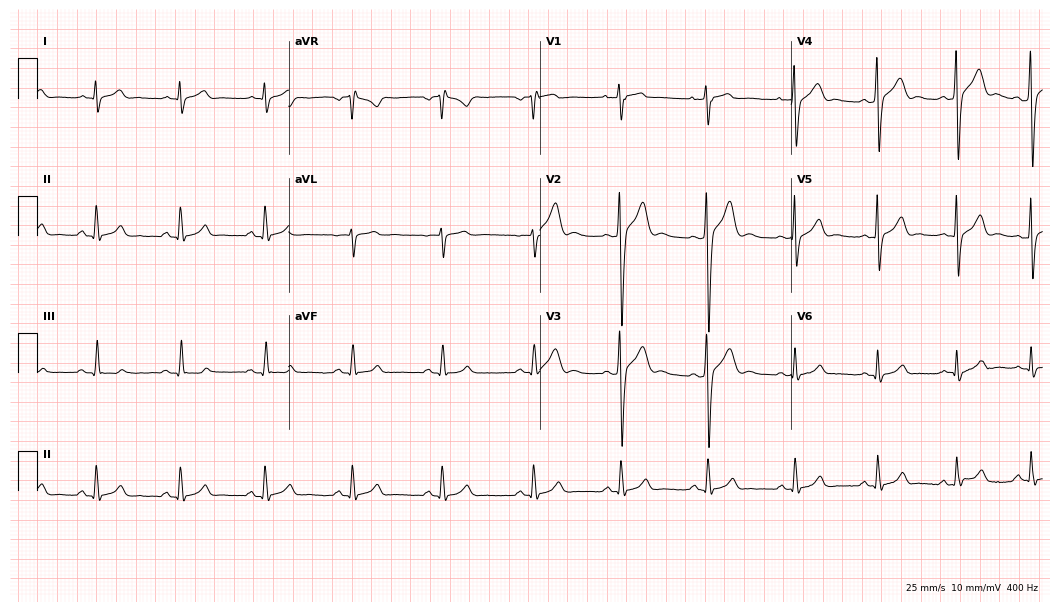
Resting 12-lead electrocardiogram. Patient: a man, 18 years old. Read as a normal ECG.